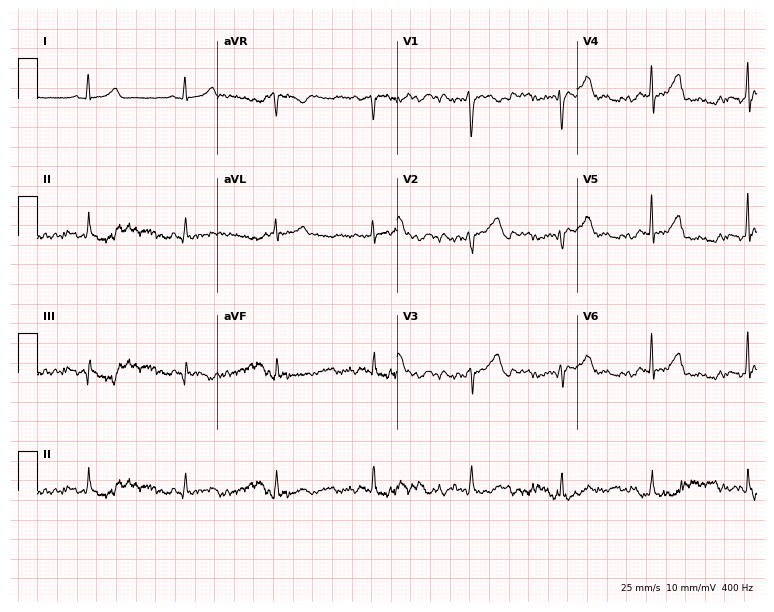
Standard 12-lead ECG recorded from a 24-year-old female (7.3-second recording at 400 Hz). None of these six findings is recorded: first-degree AV block, right bundle branch block, left bundle branch block, sinus bradycardia, atrial fibrillation, sinus tachycardia. Only these six findings were labelled.